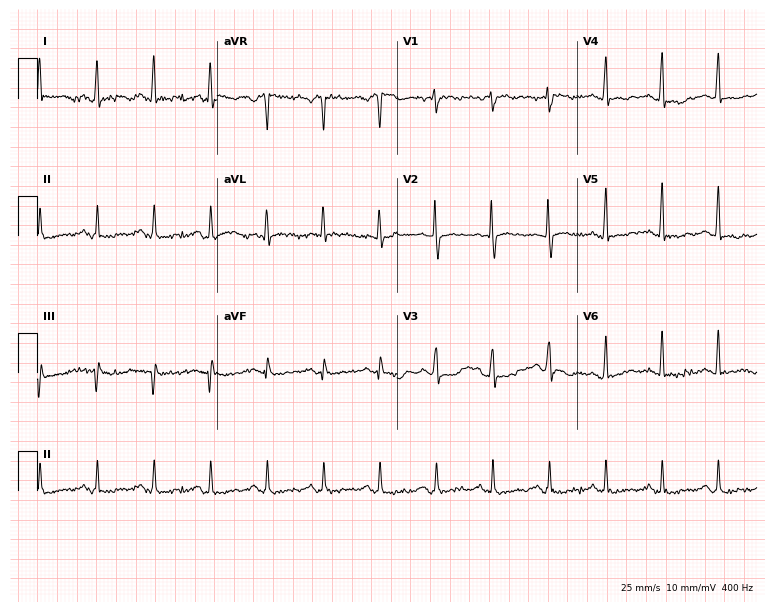
Resting 12-lead electrocardiogram (7.3-second recording at 400 Hz). Patient: a 60-year-old female. The tracing shows sinus tachycardia (a sinus rate of 100 beats per minute or more).